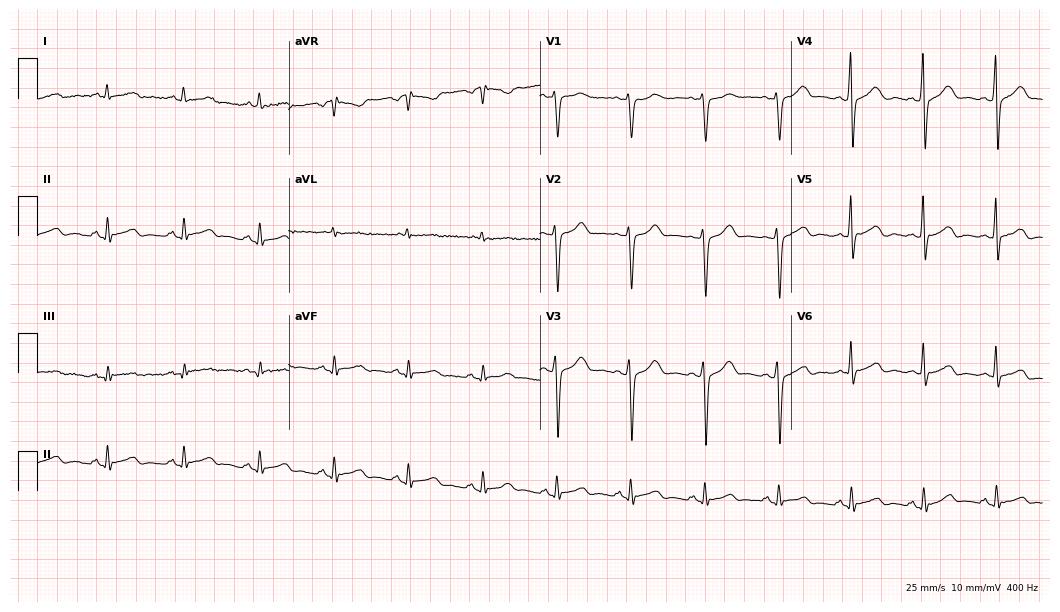
Standard 12-lead ECG recorded from a 37-year-old male. Read as a normal ECG.